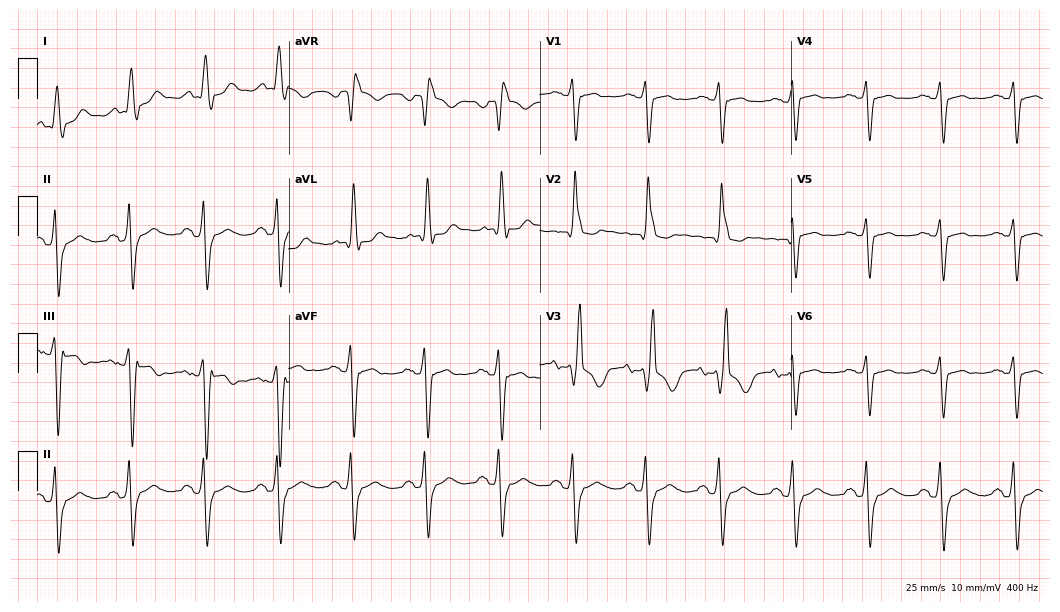
Resting 12-lead electrocardiogram. Patient: a female, 73 years old. None of these six findings is recorded: first-degree AV block, right bundle branch block, left bundle branch block, sinus bradycardia, atrial fibrillation, sinus tachycardia.